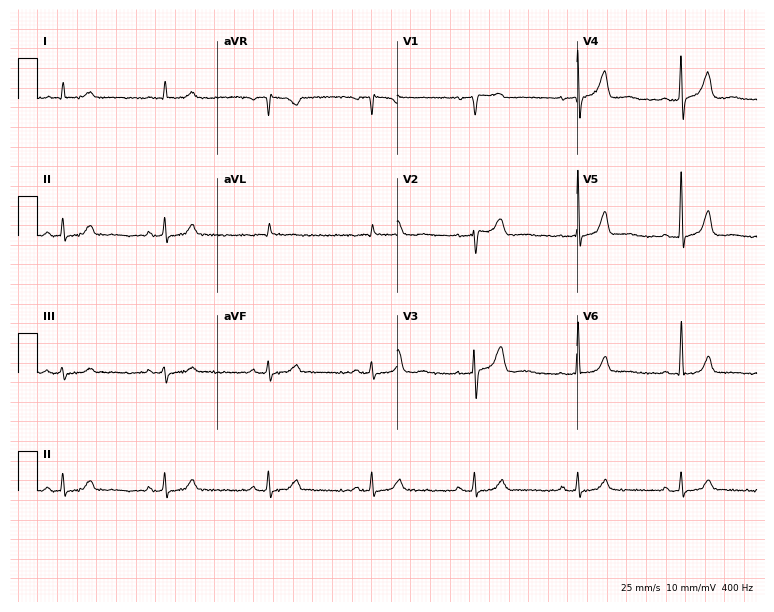
Resting 12-lead electrocardiogram (7.3-second recording at 400 Hz). Patient: a 76-year-old male. None of these six findings is recorded: first-degree AV block, right bundle branch block, left bundle branch block, sinus bradycardia, atrial fibrillation, sinus tachycardia.